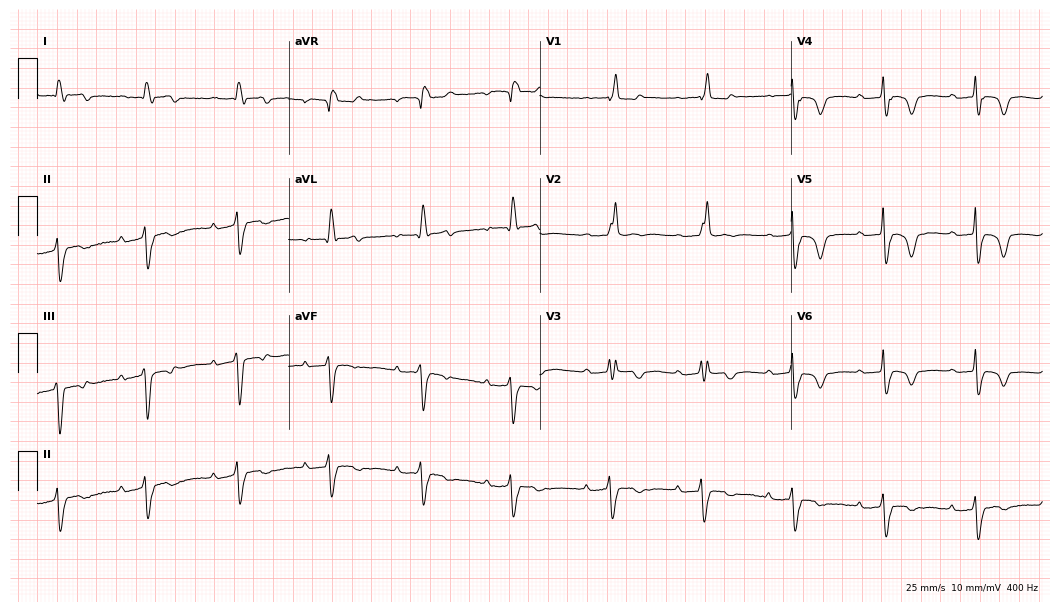
12-lead ECG from an 84-year-old woman. Shows first-degree AV block, right bundle branch block (RBBB).